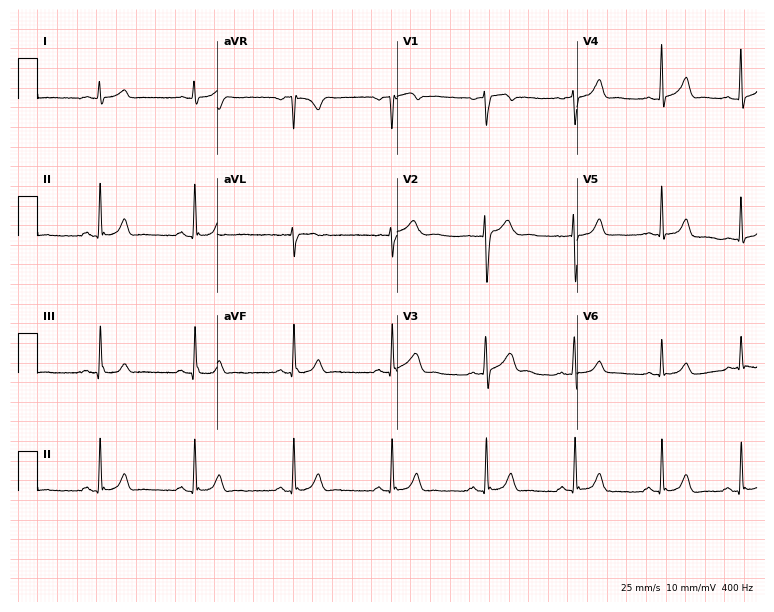
12-lead ECG from a 23-year-old man (7.3-second recording at 400 Hz). Recorded interpretation: within normal limits.